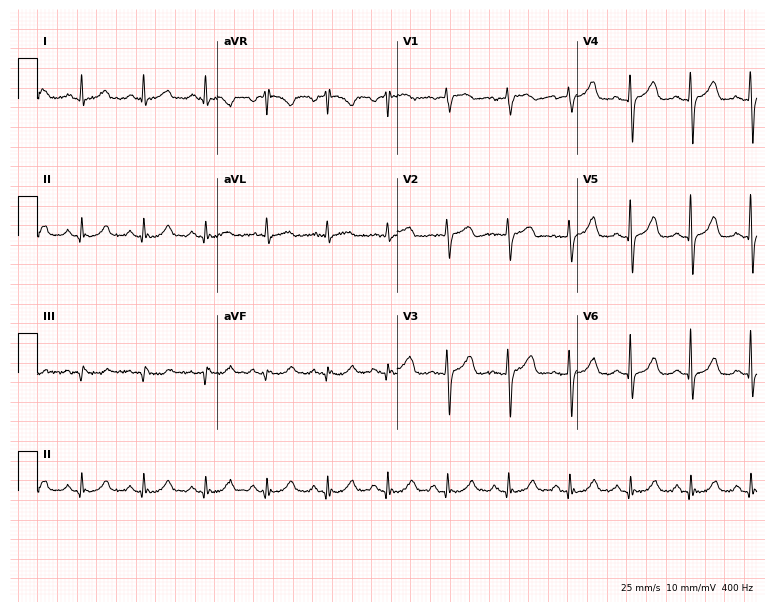
12-lead ECG from a 66-year-old female. No first-degree AV block, right bundle branch block, left bundle branch block, sinus bradycardia, atrial fibrillation or sinus tachycardia recorded for this tracing. Findings outside these six are not listed.